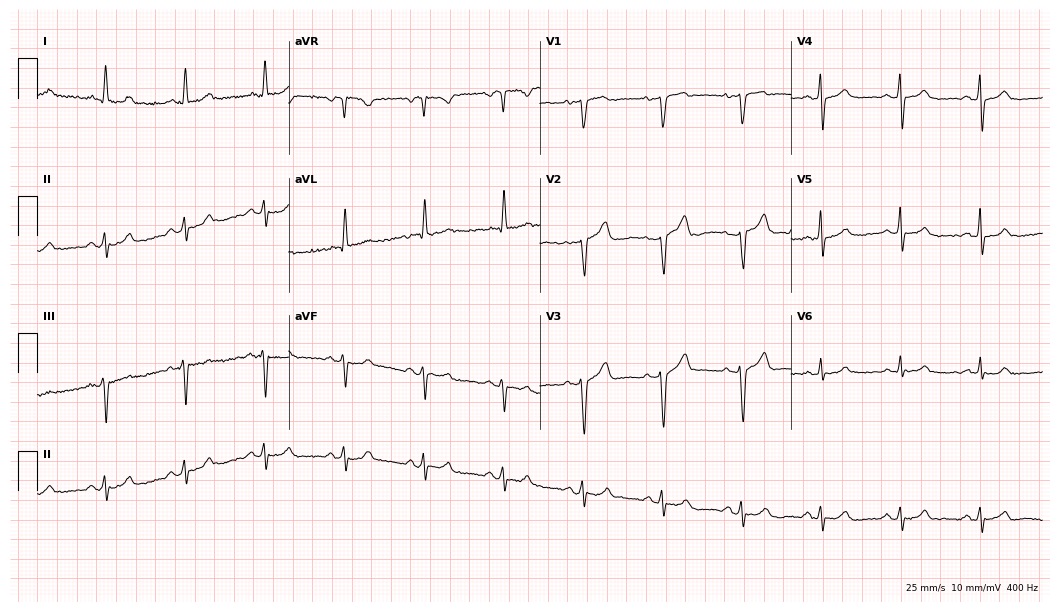
Electrocardiogram, a 76-year-old woman. Of the six screened findings (first-degree AV block, right bundle branch block, left bundle branch block, sinus bradycardia, atrial fibrillation, sinus tachycardia), none is recorded. Other findings, if any, are not listed.